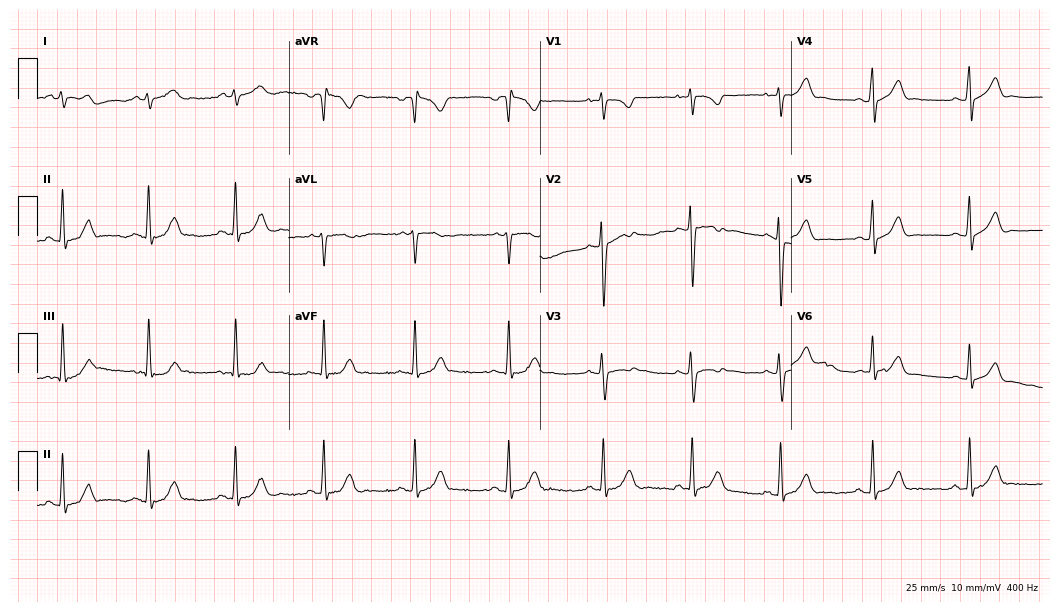
Standard 12-lead ECG recorded from a 21-year-old woman. Read as a normal ECG.